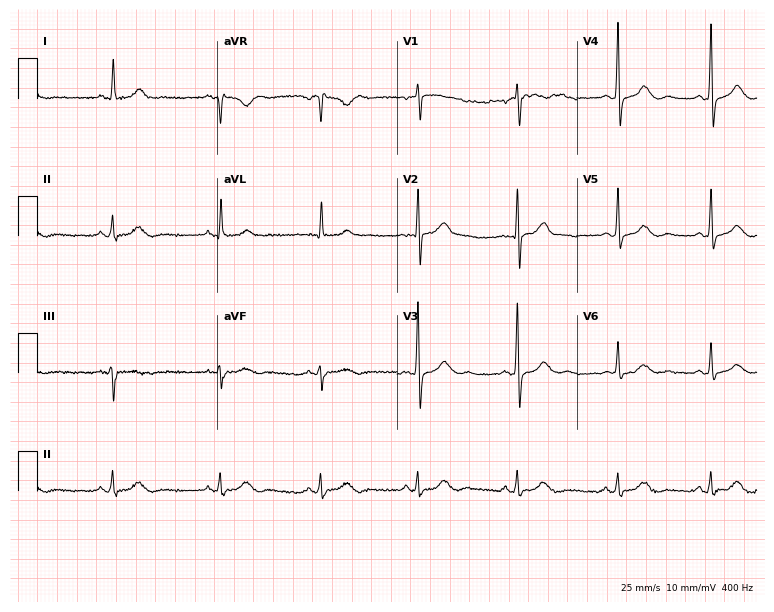
Standard 12-lead ECG recorded from a 59-year-old female (7.3-second recording at 400 Hz). None of these six findings is recorded: first-degree AV block, right bundle branch block, left bundle branch block, sinus bradycardia, atrial fibrillation, sinus tachycardia.